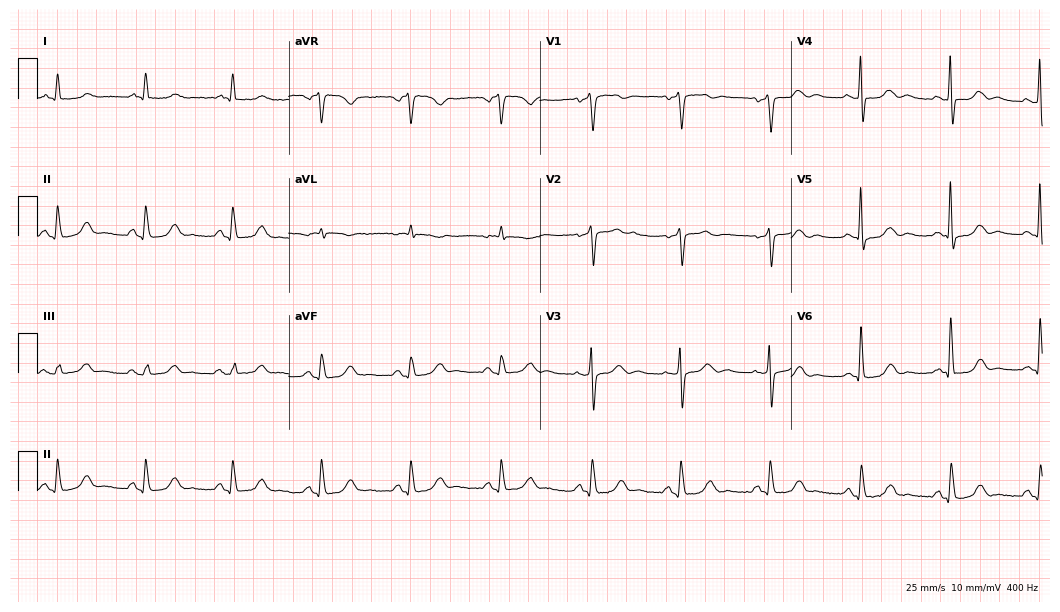
Standard 12-lead ECG recorded from a male patient, 76 years old (10.2-second recording at 400 Hz). Read as a normal ECG.